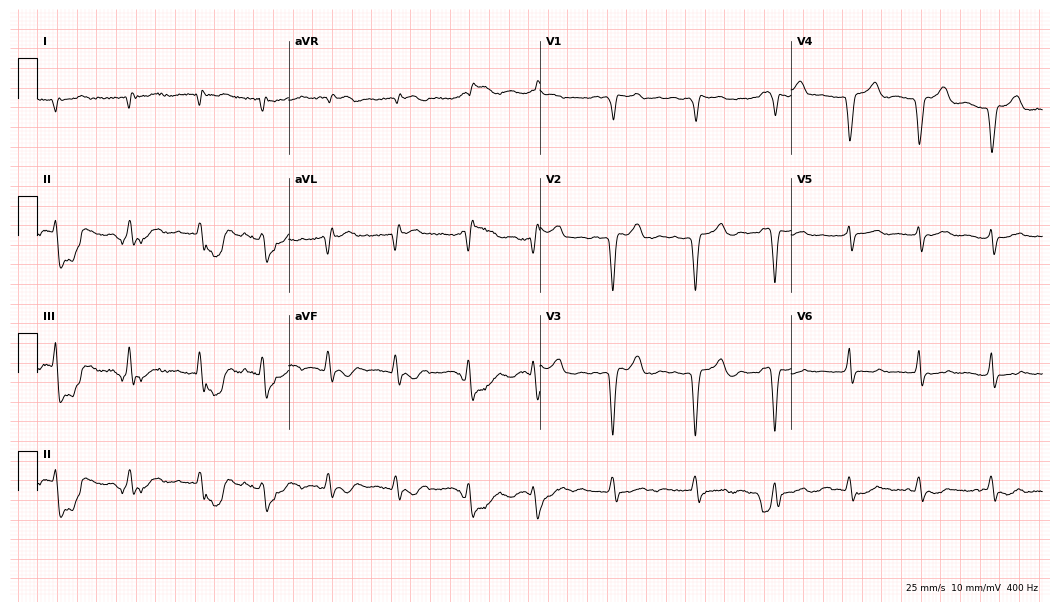
Standard 12-lead ECG recorded from a female, 78 years old (10.2-second recording at 400 Hz). None of these six findings is recorded: first-degree AV block, right bundle branch block, left bundle branch block, sinus bradycardia, atrial fibrillation, sinus tachycardia.